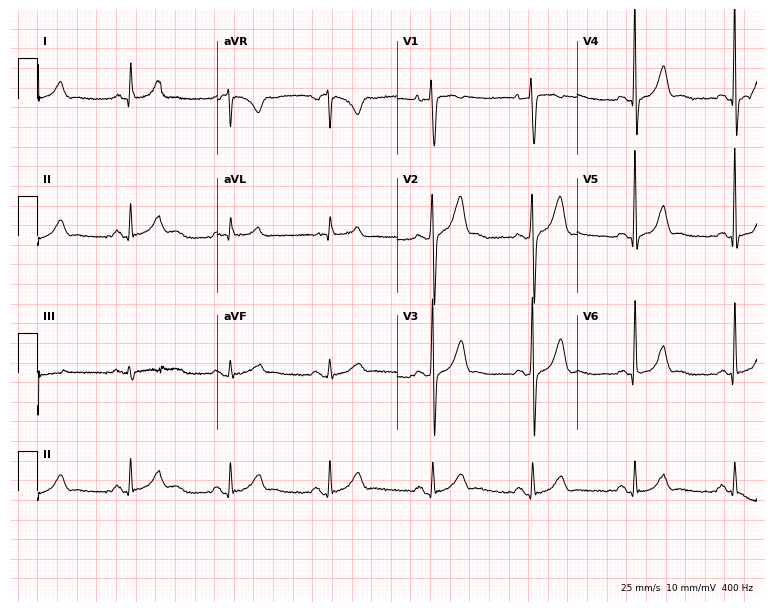
12-lead ECG from a man, 57 years old. Labelled as a normal ECG.